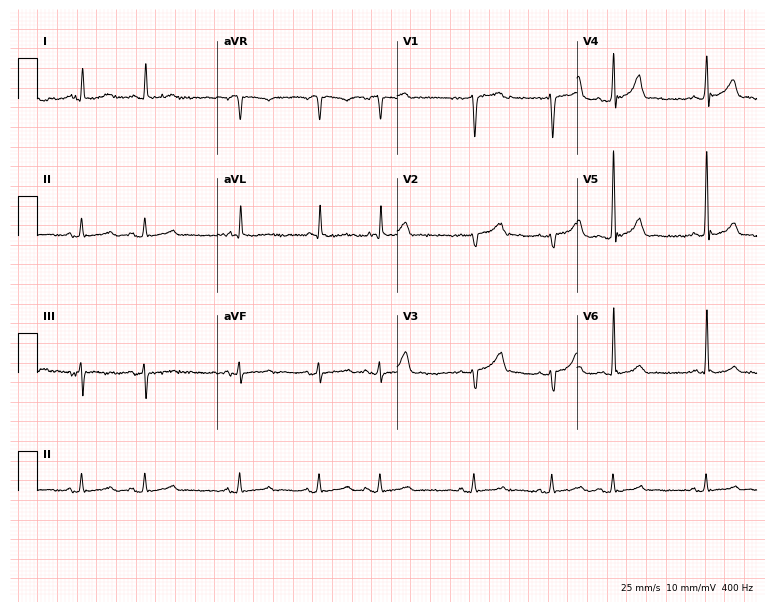
Resting 12-lead electrocardiogram (7.3-second recording at 400 Hz). Patient: an 82-year-old man. None of these six findings is recorded: first-degree AV block, right bundle branch block (RBBB), left bundle branch block (LBBB), sinus bradycardia, atrial fibrillation (AF), sinus tachycardia. Other findings, if any, are not listed.